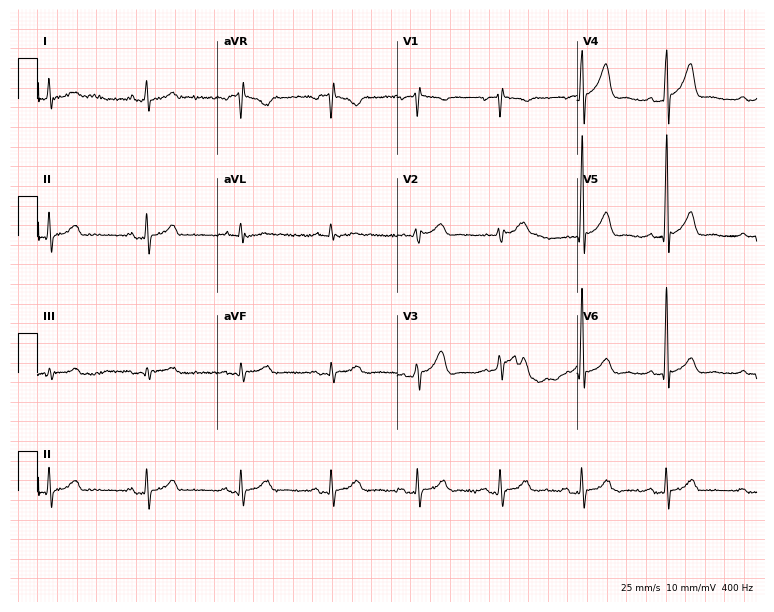
ECG (7.3-second recording at 400 Hz) — a 44-year-old male patient. Screened for six findings — first-degree AV block, right bundle branch block, left bundle branch block, sinus bradycardia, atrial fibrillation, sinus tachycardia — none is recorded.